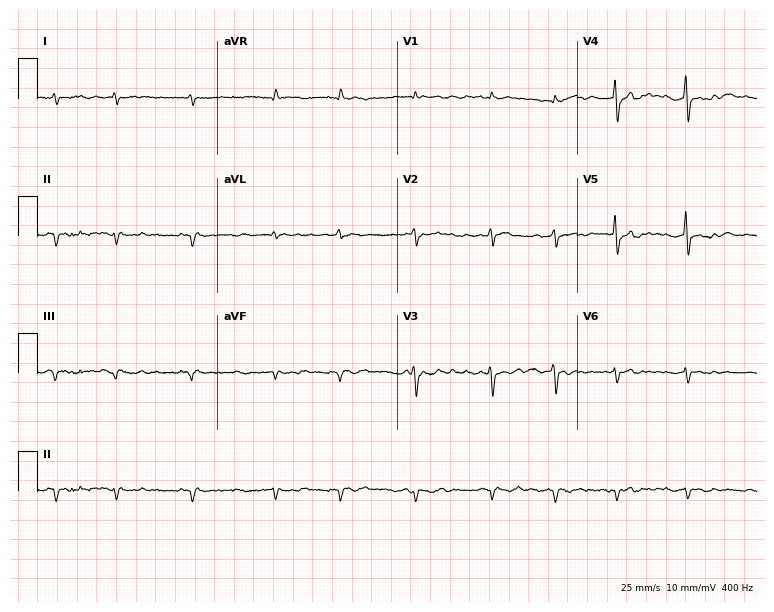
Standard 12-lead ECG recorded from an 83-year-old man (7.3-second recording at 400 Hz). The tracing shows atrial fibrillation (AF).